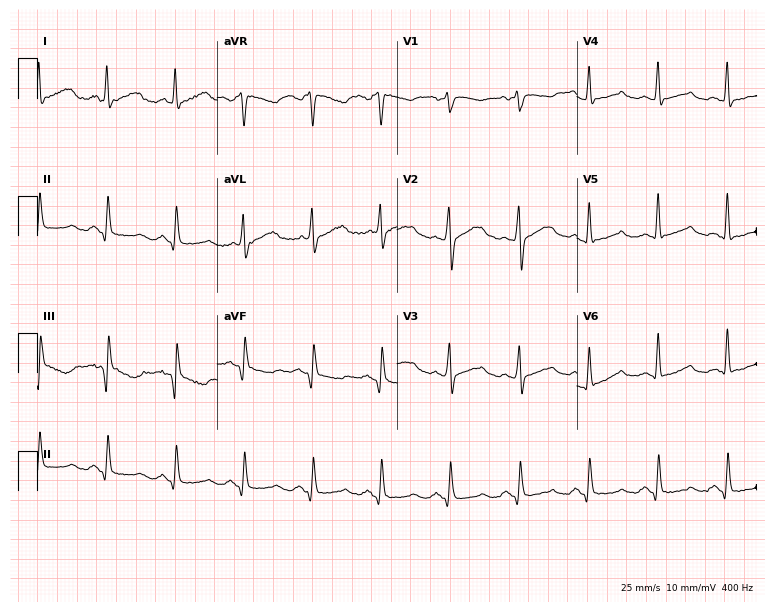
ECG (7.3-second recording at 400 Hz) — a female, 51 years old. Screened for six findings — first-degree AV block, right bundle branch block, left bundle branch block, sinus bradycardia, atrial fibrillation, sinus tachycardia — none is recorded.